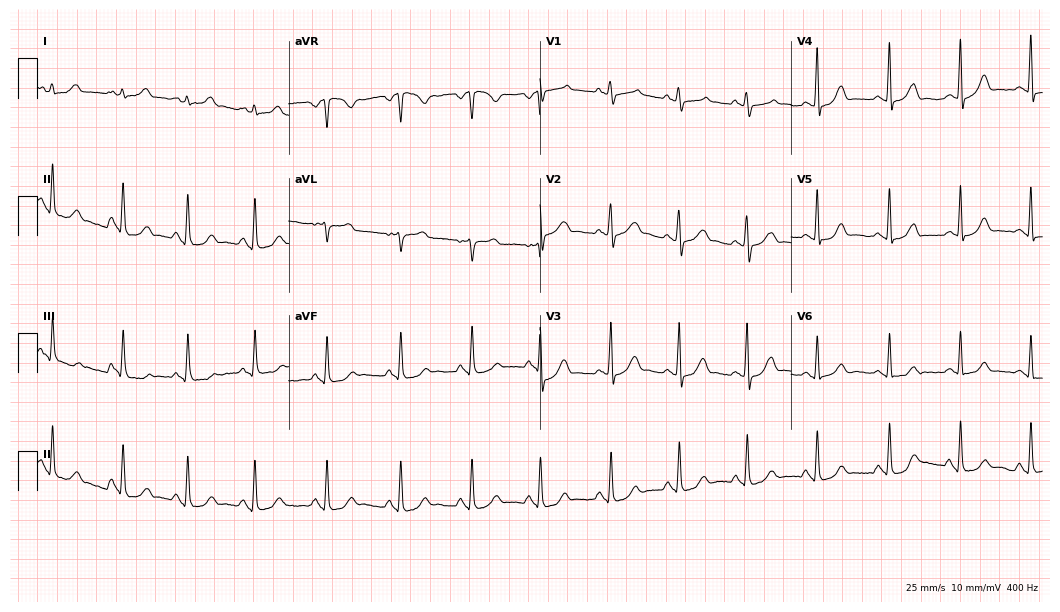
12-lead ECG from a 19-year-old female patient (10.2-second recording at 400 Hz). Recorded interpretation: within normal limits.